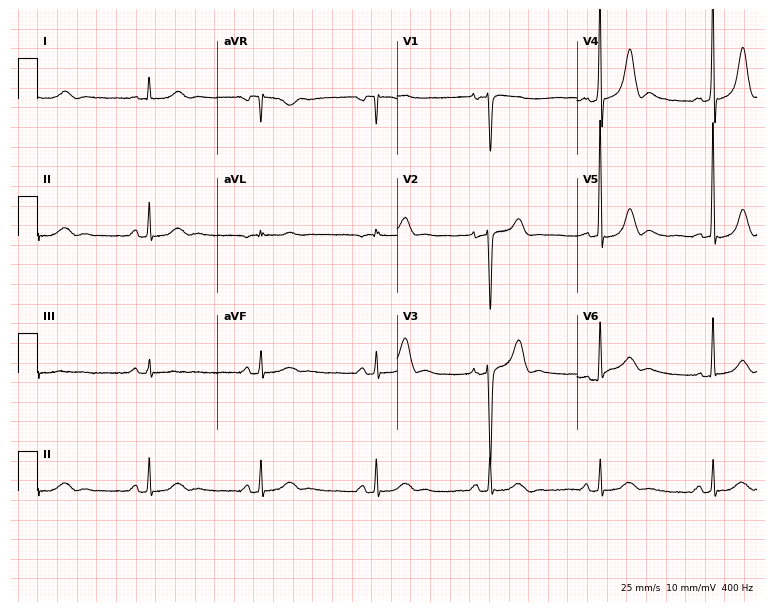
Resting 12-lead electrocardiogram. Patient: a male, 74 years old. None of these six findings is recorded: first-degree AV block, right bundle branch block, left bundle branch block, sinus bradycardia, atrial fibrillation, sinus tachycardia.